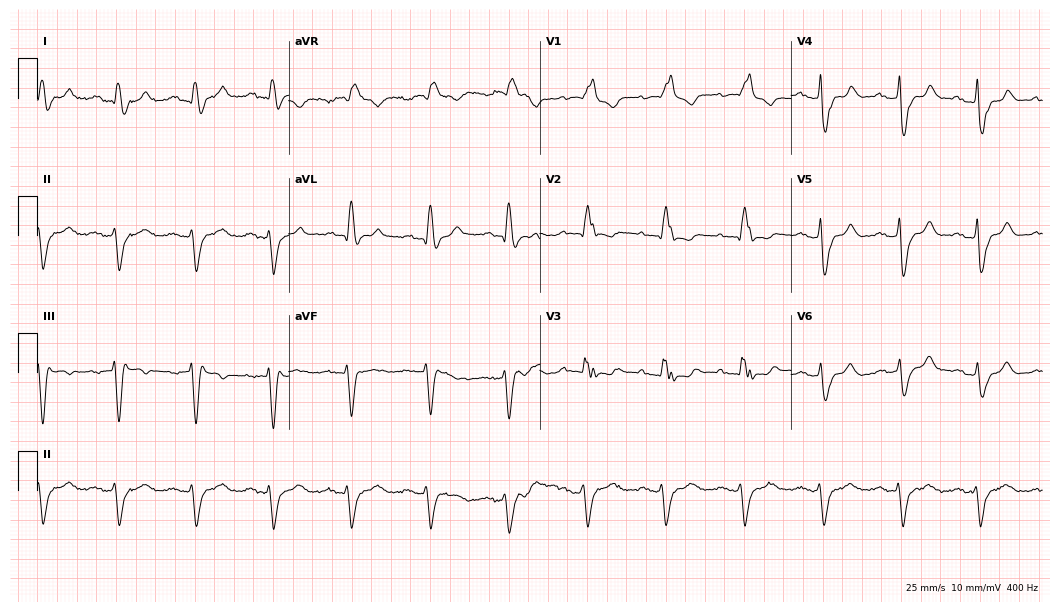
ECG — a 78-year-old man. Findings include right bundle branch block (RBBB).